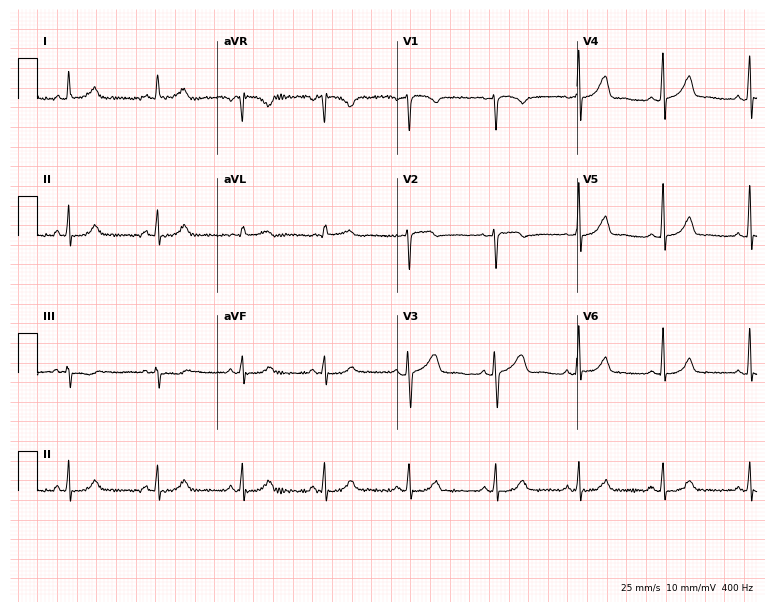
12-lead ECG from a female patient, 43 years old (7.3-second recording at 400 Hz). Recorded interpretation: within normal limits.